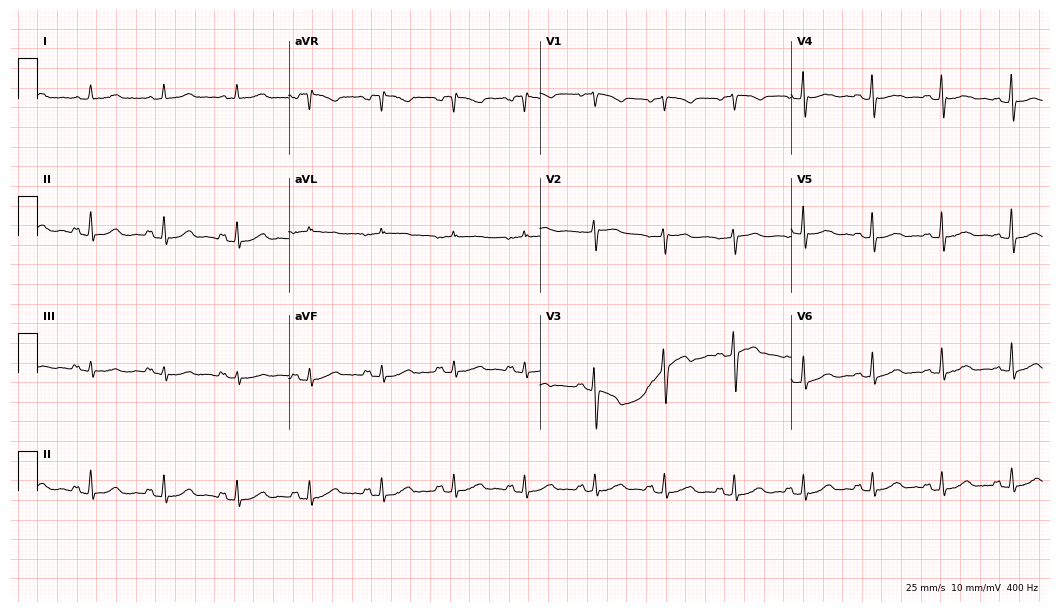
ECG (10.2-second recording at 400 Hz) — a female, 69 years old. Labelled as a normal ECG.